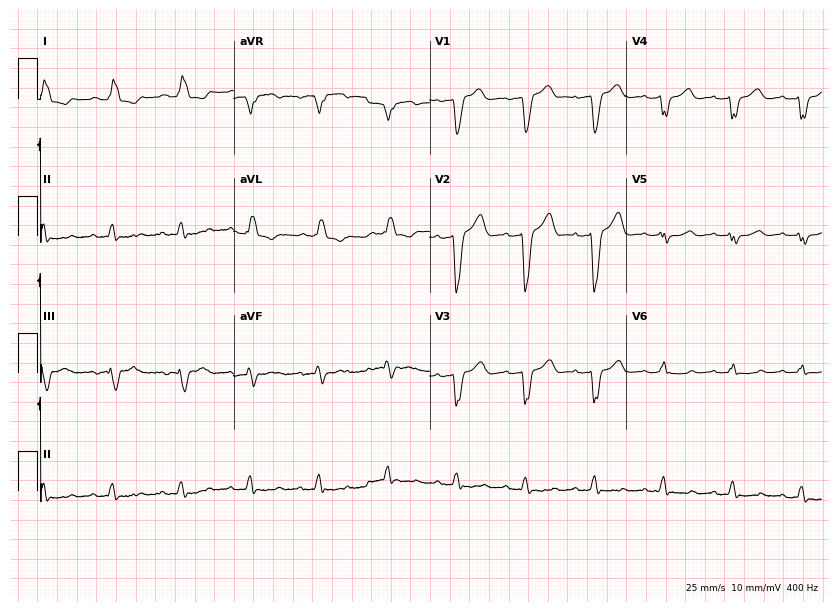
12-lead ECG from a 78-year-old female patient. Shows left bundle branch block.